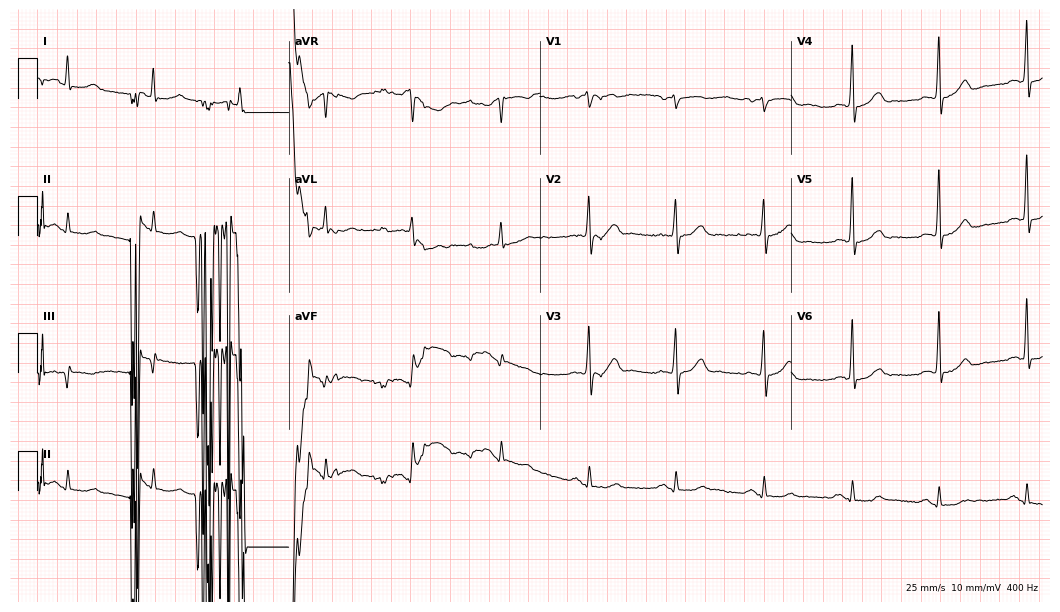
Resting 12-lead electrocardiogram. Patient: a 59-year-old man. None of these six findings is recorded: first-degree AV block, right bundle branch block, left bundle branch block, sinus bradycardia, atrial fibrillation, sinus tachycardia.